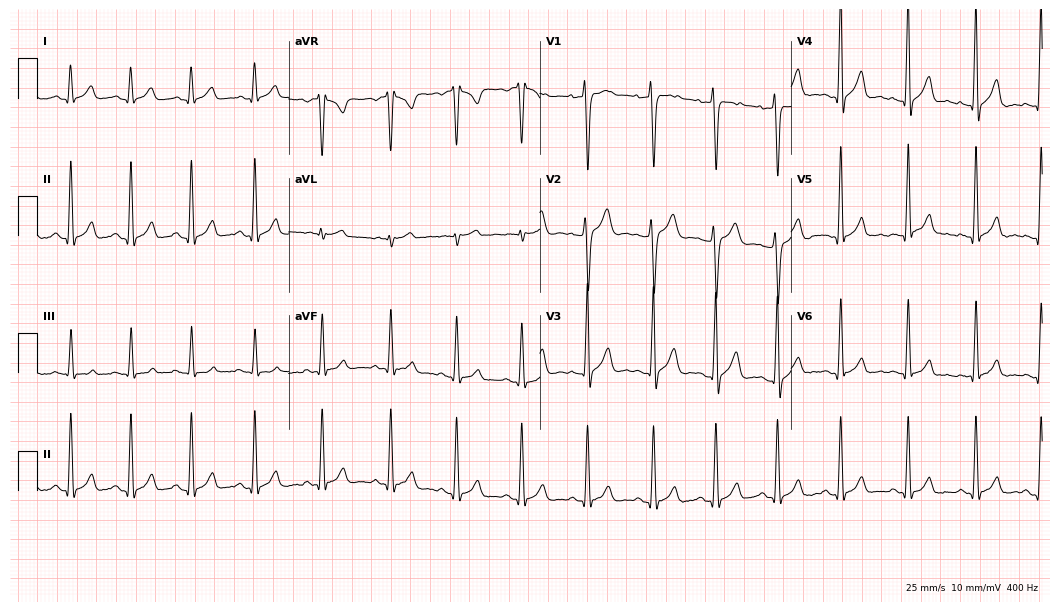
12-lead ECG from a 29-year-old man (10.2-second recording at 400 Hz). Recorded interpretation: within normal limits.